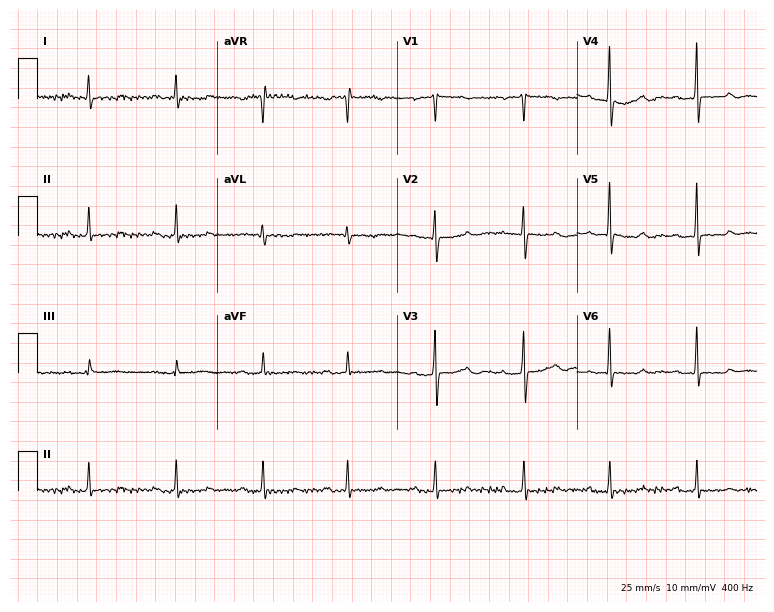
Standard 12-lead ECG recorded from a 70-year-old female. None of these six findings is recorded: first-degree AV block, right bundle branch block, left bundle branch block, sinus bradycardia, atrial fibrillation, sinus tachycardia. Other findings, if any, are not listed.